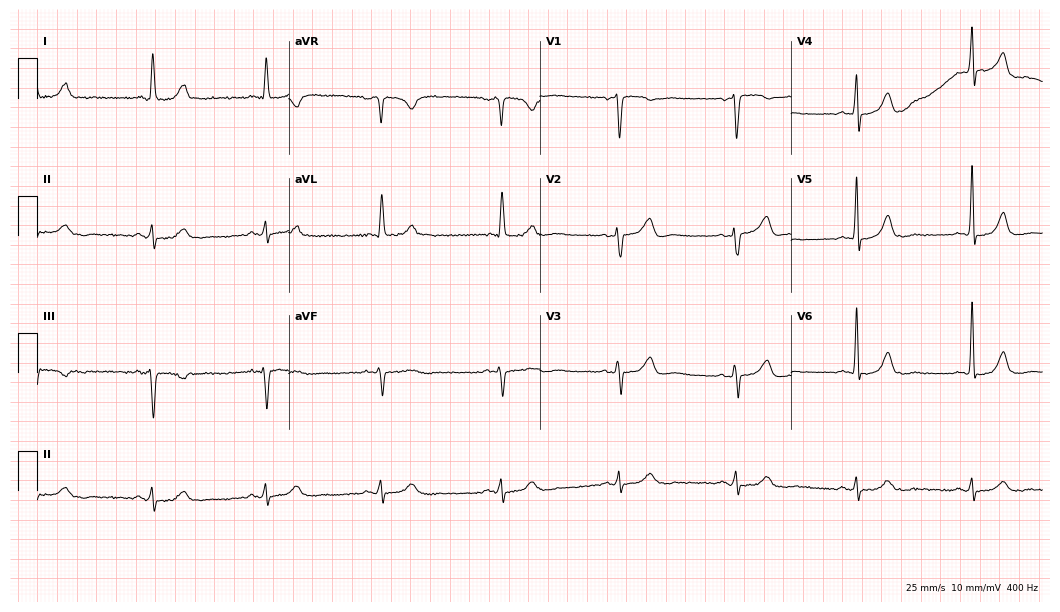
Resting 12-lead electrocardiogram (10.2-second recording at 400 Hz). Patient: a female, 79 years old. Read as a normal ECG.